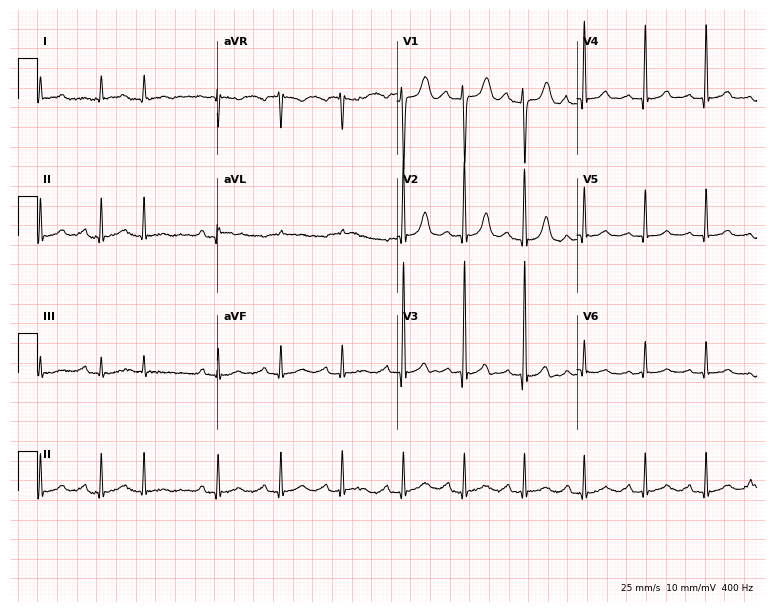
12-lead ECG from a female patient, 84 years old (7.3-second recording at 400 Hz). No first-degree AV block, right bundle branch block, left bundle branch block, sinus bradycardia, atrial fibrillation or sinus tachycardia recorded for this tracing.